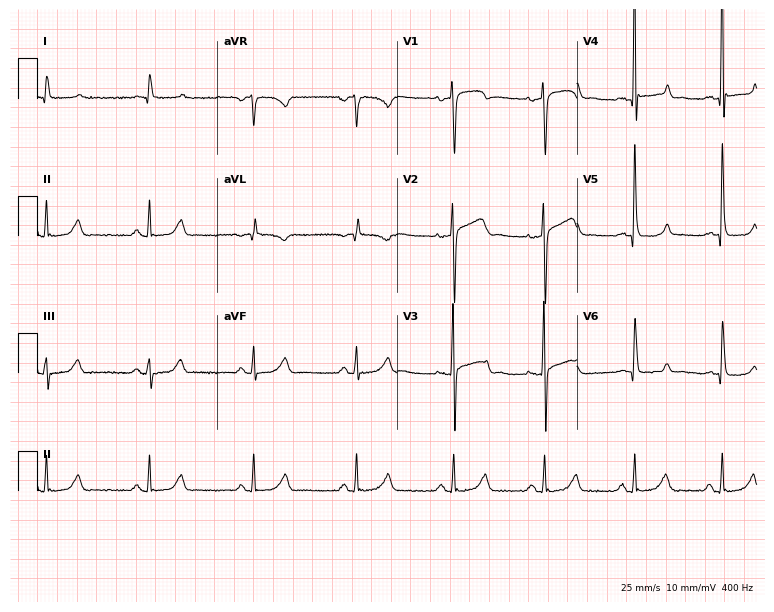
Resting 12-lead electrocardiogram. Patient: a 64-year-old man. None of these six findings is recorded: first-degree AV block, right bundle branch block, left bundle branch block, sinus bradycardia, atrial fibrillation, sinus tachycardia. Findings outside these six are not listed.